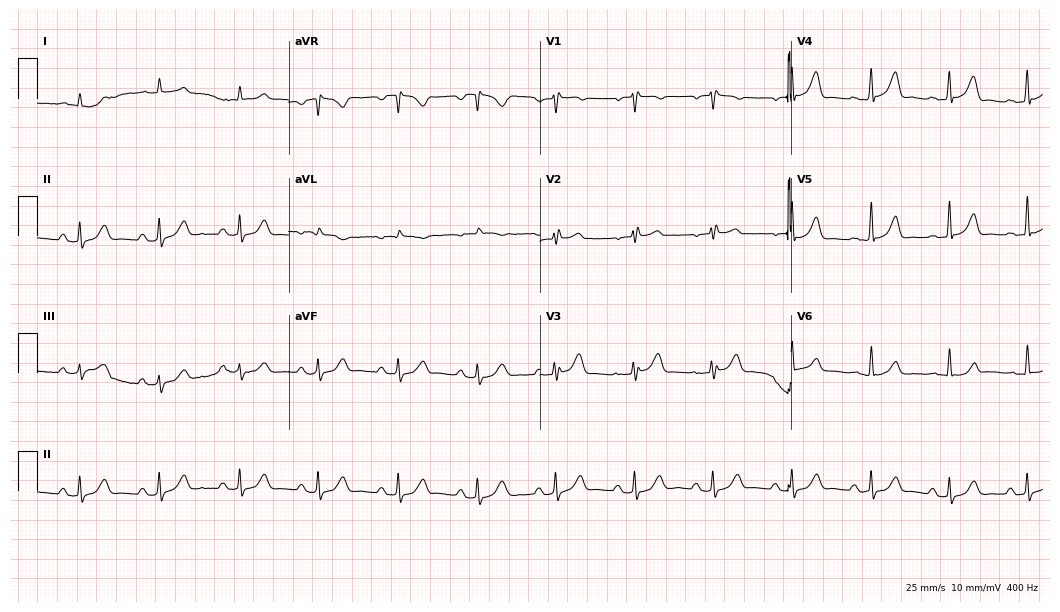
Electrocardiogram, a male patient, 71 years old. Overall reading on record: normal ECG.